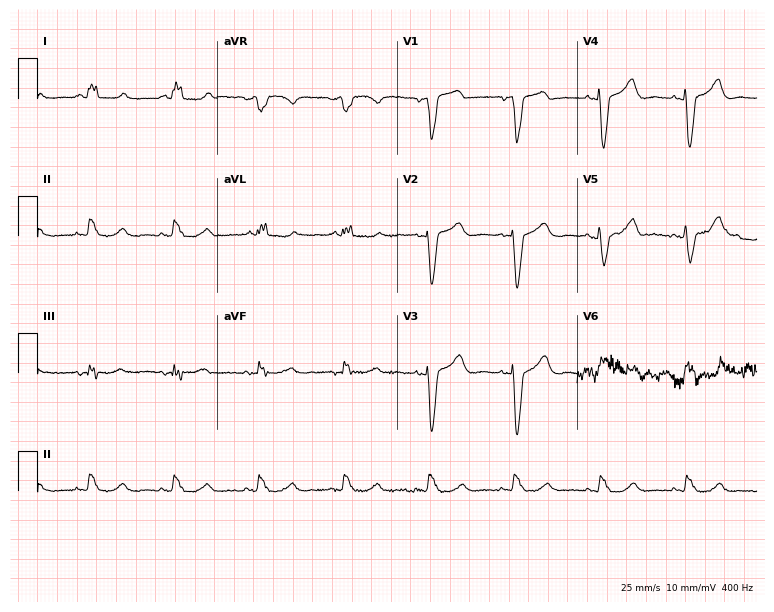
12-lead ECG (7.3-second recording at 400 Hz) from an 83-year-old female patient. Findings include left bundle branch block.